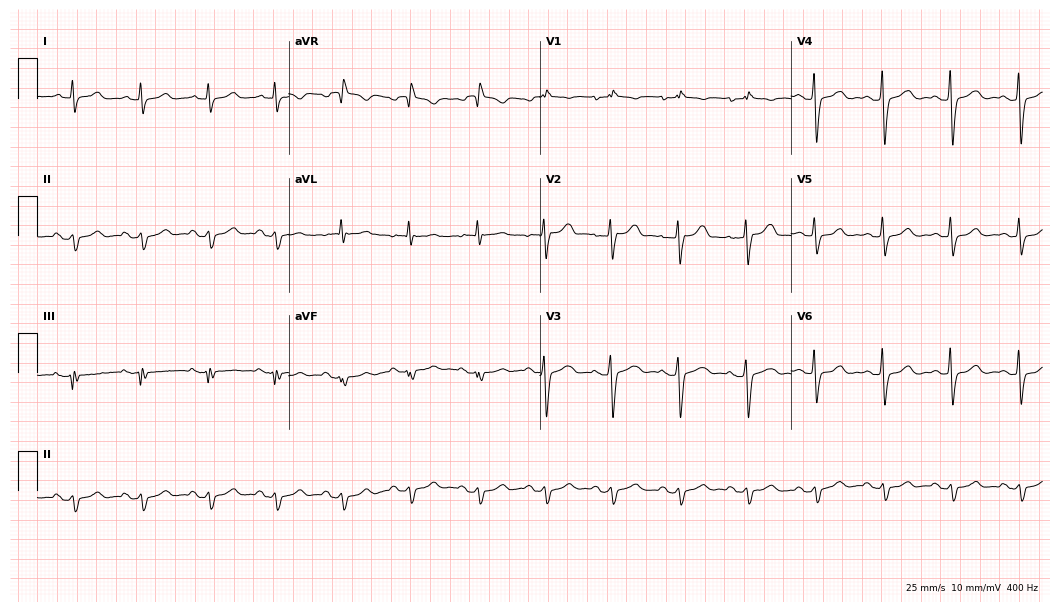
ECG (10.2-second recording at 400 Hz) — a 56-year-old woman. Screened for six findings — first-degree AV block, right bundle branch block (RBBB), left bundle branch block (LBBB), sinus bradycardia, atrial fibrillation (AF), sinus tachycardia — none is recorded.